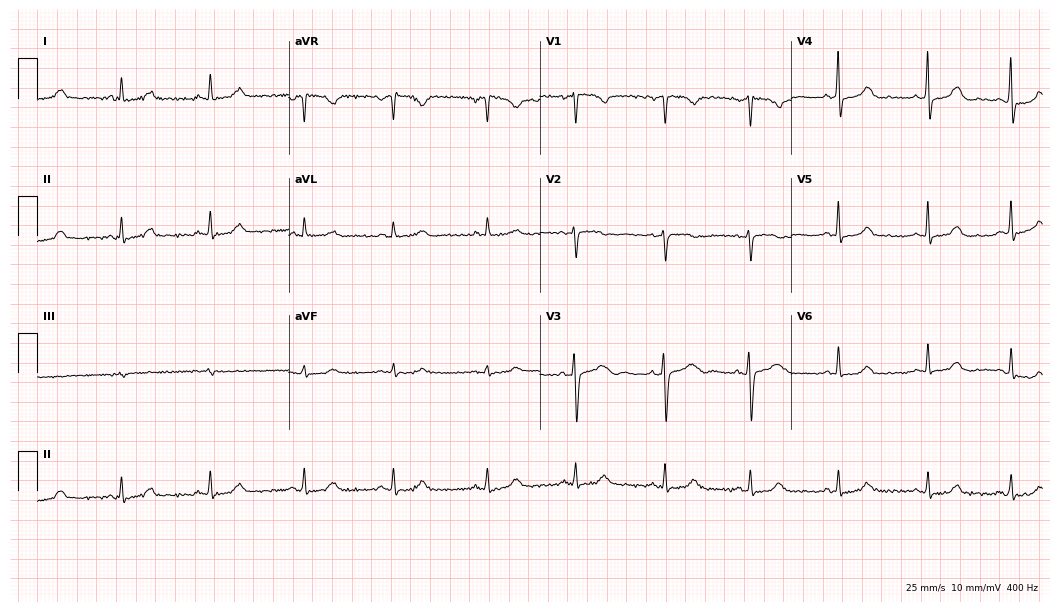
Resting 12-lead electrocardiogram. Patient: a 39-year-old woman. None of these six findings is recorded: first-degree AV block, right bundle branch block, left bundle branch block, sinus bradycardia, atrial fibrillation, sinus tachycardia. Other findings, if any, are not listed.